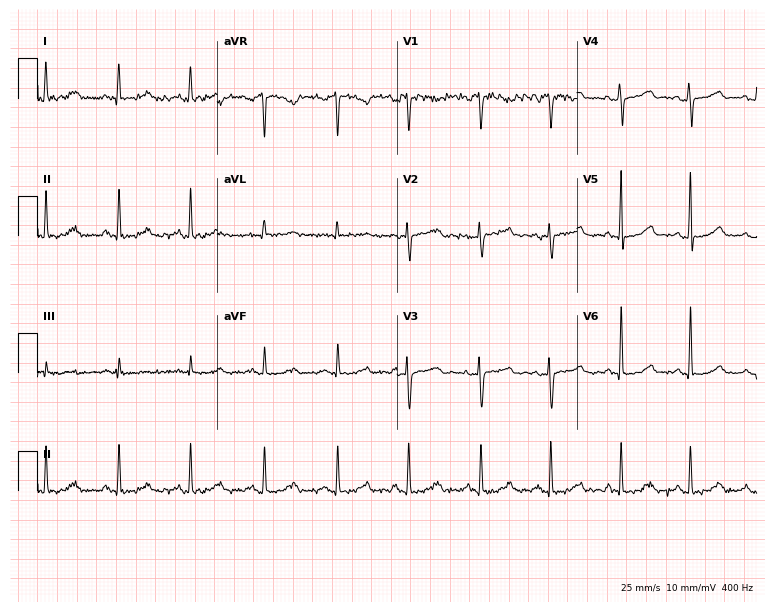
12-lead ECG from a 46-year-old female patient (7.3-second recording at 400 Hz). Recorded interpretation: within normal limits.